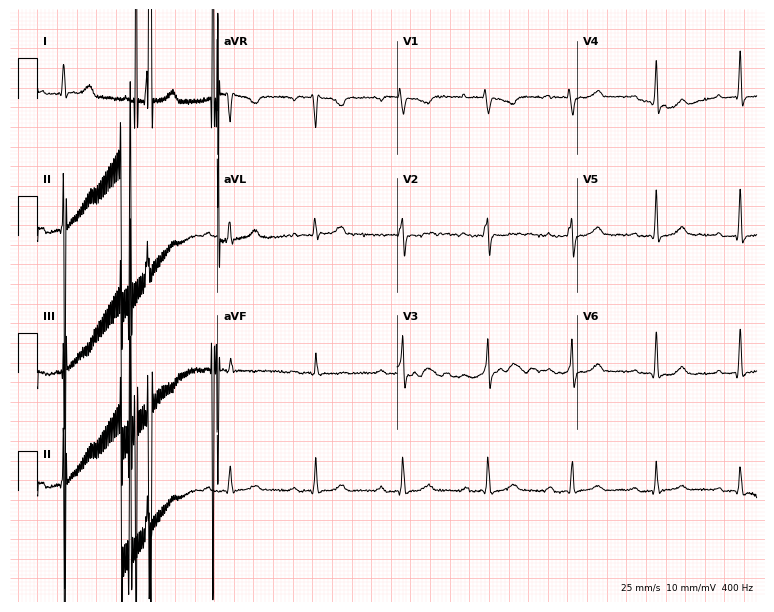
ECG — a 41-year-old woman. Findings include first-degree AV block.